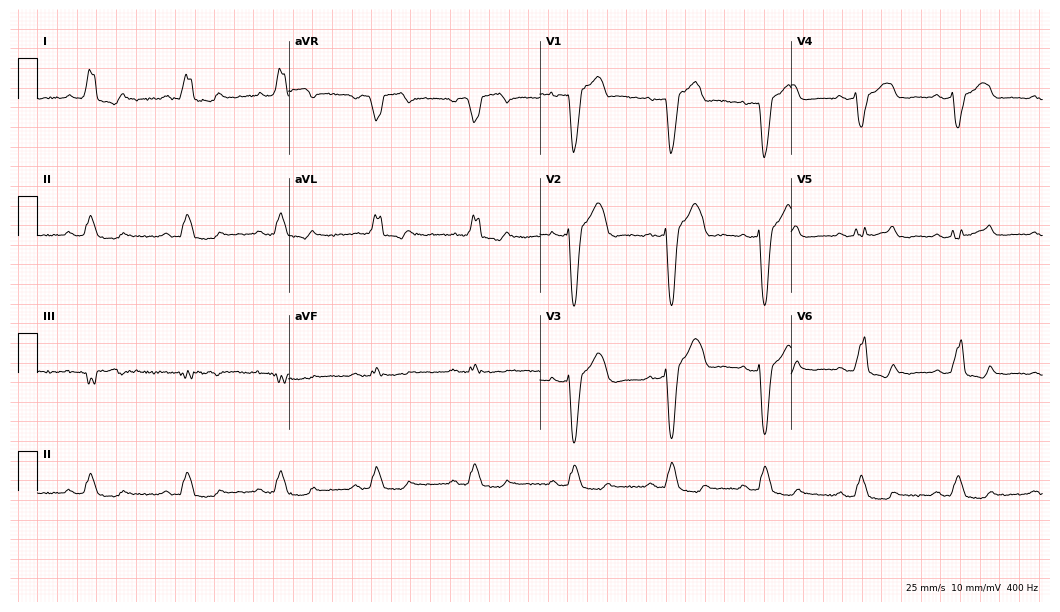
ECG (10.2-second recording at 400 Hz) — a 71-year-old male. Findings include left bundle branch block.